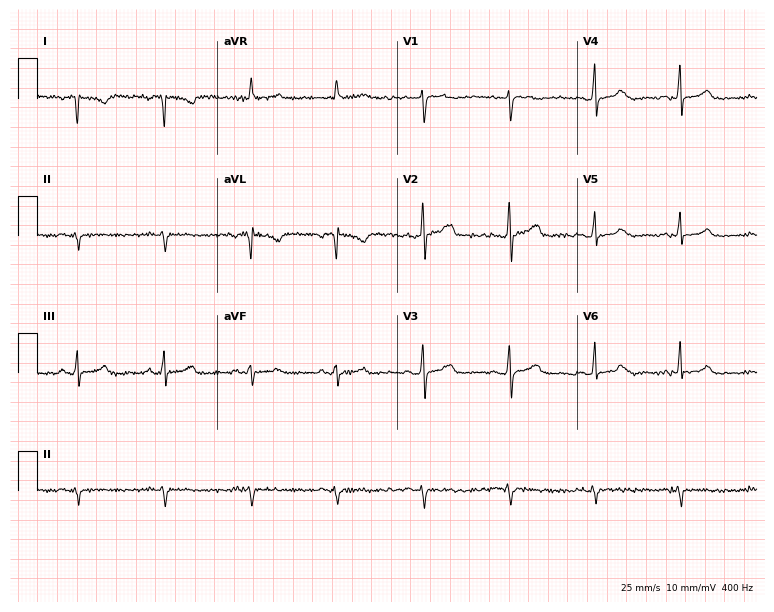
ECG (7.3-second recording at 400 Hz) — a female, 61 years old. Screened for six findings — first-degree AV block, right bundle branch block, left bundle branch block, sinus bradycardia, atrial fibrillation, sinus tachycardia — none is recorded. Other findings, if any, are not listed.